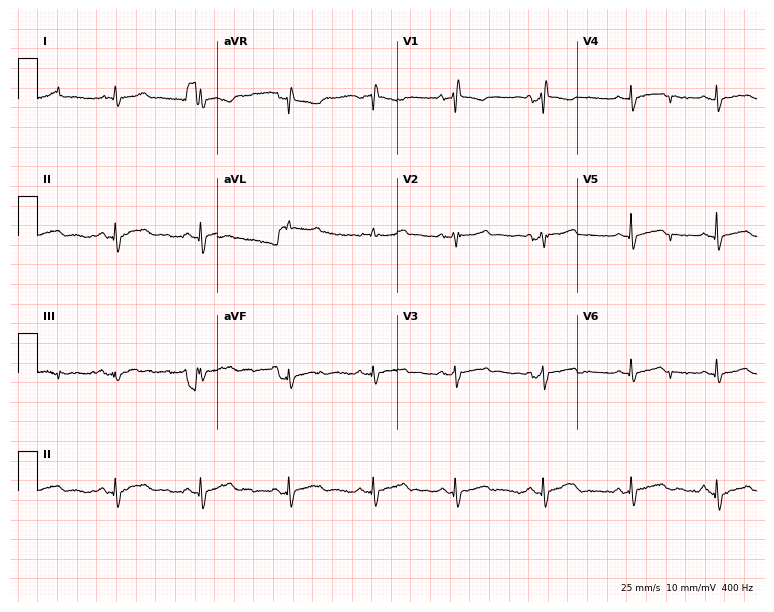
ECG — a 57-year-old woman. Screened for six findings — first-degree AV block, right bundle branch block, left bundle branch block, sinus bradycardia, atrial fibrillation, sinus tachycardia — none is recorded. Findings outside these six are not listed.